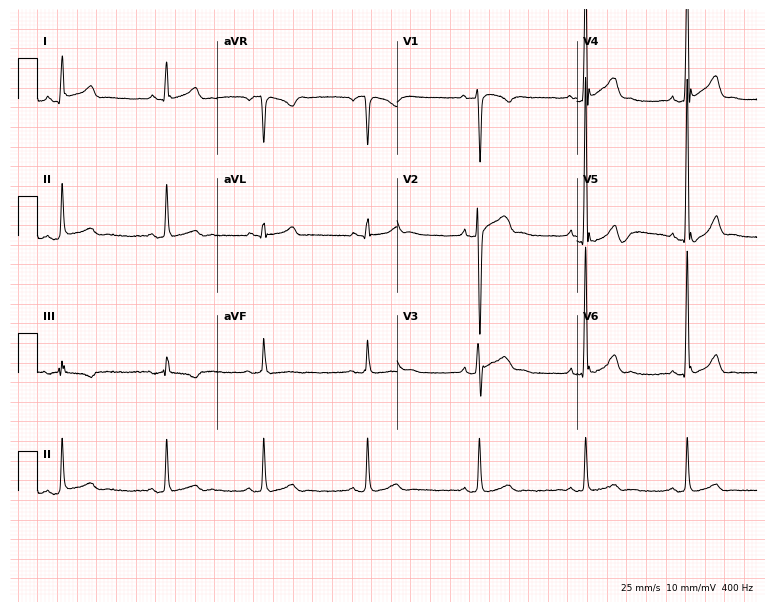
ECG (7.3-second recording at 400 Hz) — a 40-year-old male. Labelled as a normal ECG.